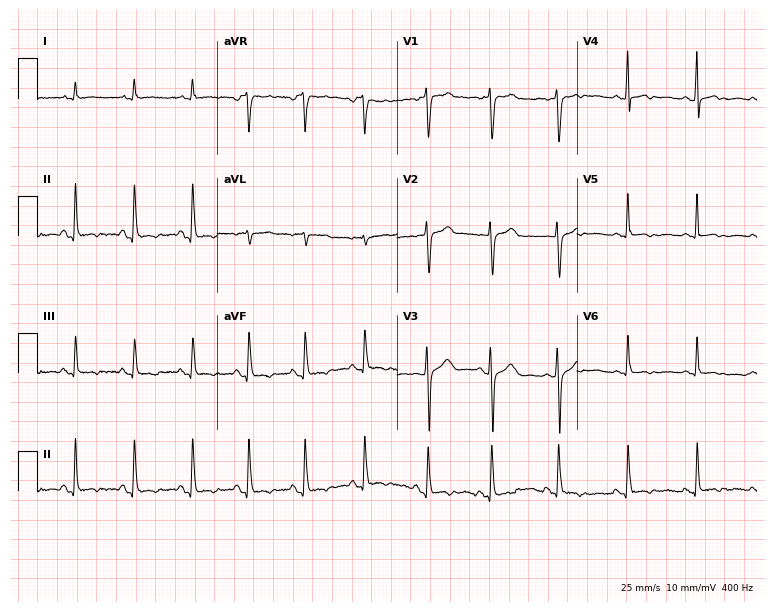
Electrocardiogram, a 24-year-old female patient. Of the six screened findings (first-degree AV block, right bundle branch block, left bundle branch block, sinus bradycardia, atrial fibrillation, sinus tachycardia), none is recorded. Findings outside these six are not listed.